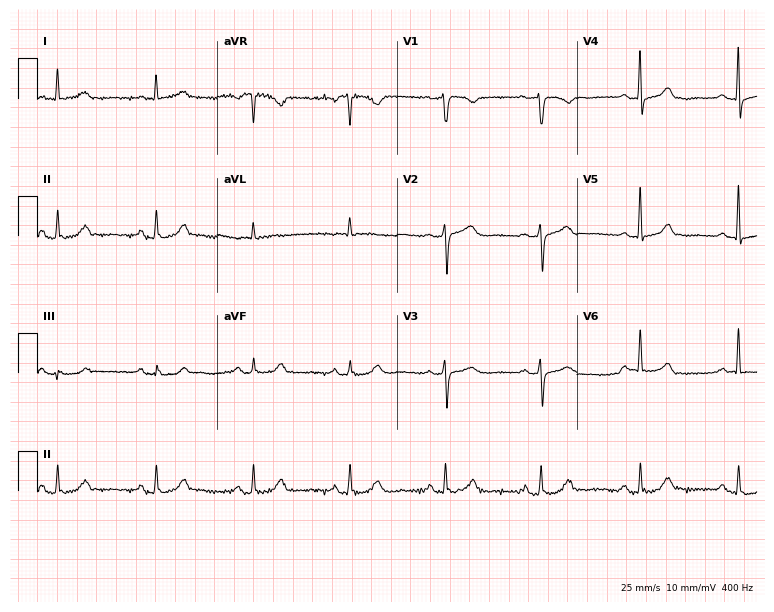
12-lead ECG from a female patient, 62 years old (7.3-second recording at 400 Hz). Recorded interpretation: within normal limits.